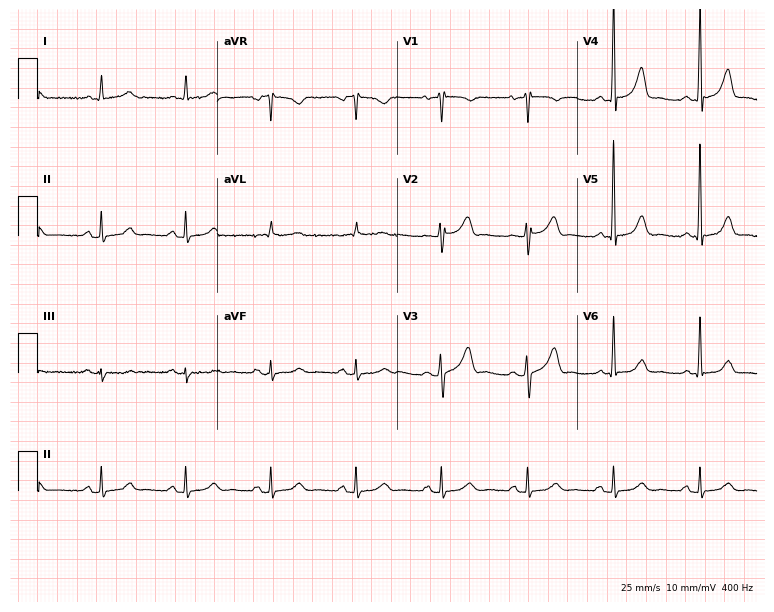
Electrocardiogram (7.3-second recording at 400 Hz), a female, 62 years old. Overall reading on record: normal ECG.